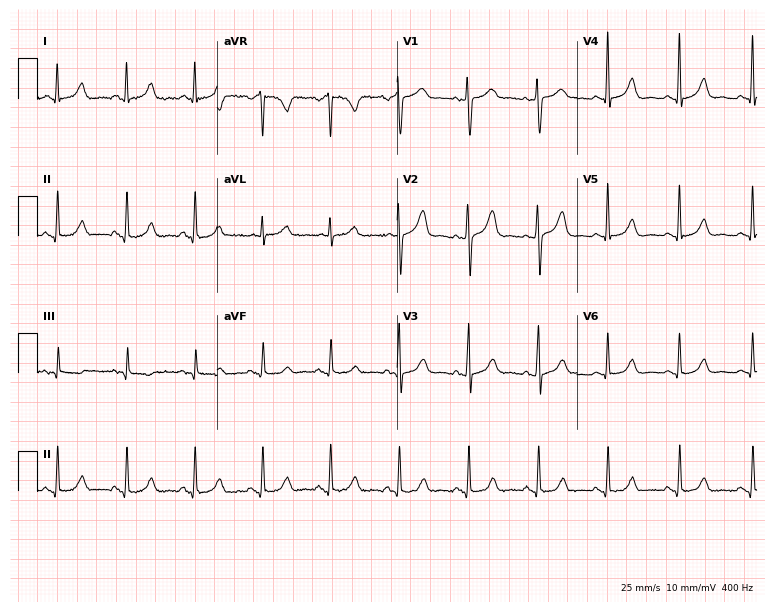
12-lead ECG from a woman, 70 years old (7.3-second recording at 400 Hz). No first-degree AV block, right bundle branch block, left bundle branch block, sinus bradycardia, atrial fibrillation or sinus tachycardia recorded for this tracing. Findings outside these six are not listed.